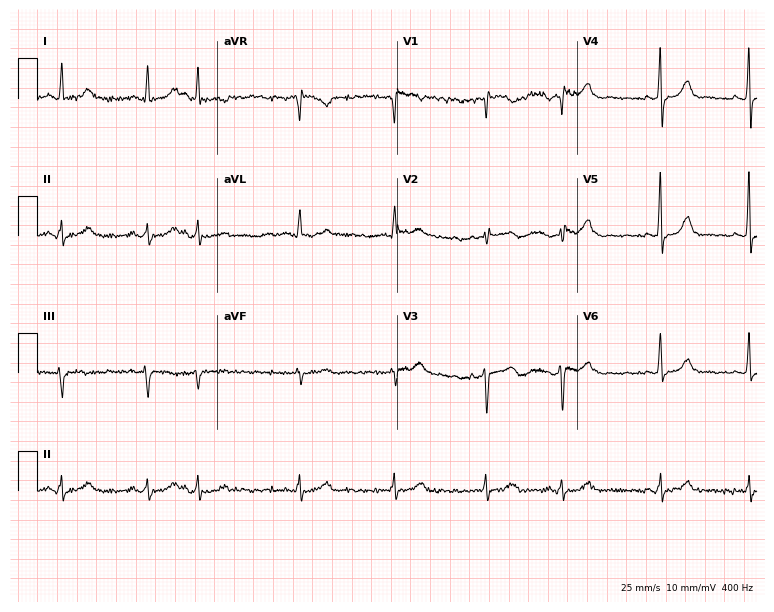
Electrocardiogram, an 86-year-old female patient. Of the six screened findings (first-degree AV block, right bundle branch block, left bundle branch block, sinus bradycardia, atrial fibrillation, sinus tachycardia), none is recorded.